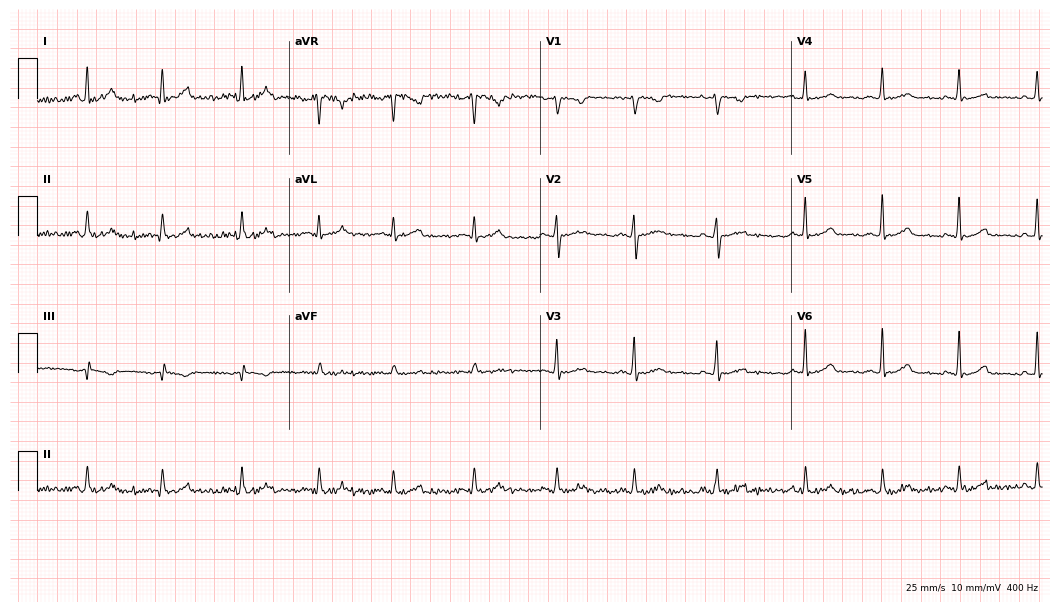
ECG — a woman, 27 years old. Labelled as a normal ECG.